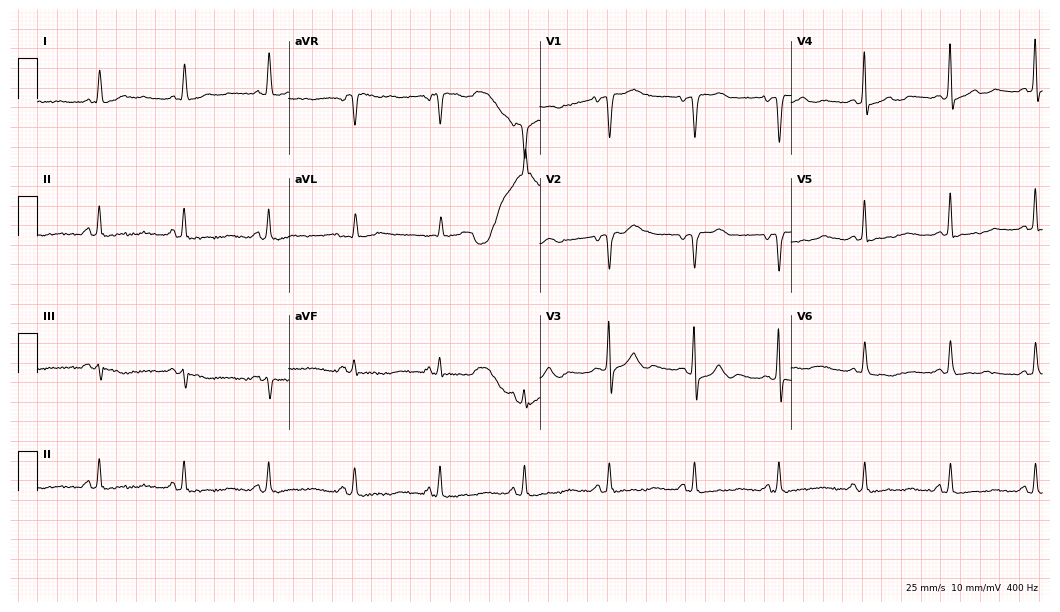
ECG (10.2-second recording at 400 Hz) — a female patient, 81 years old. Labelled as a normal ECG.